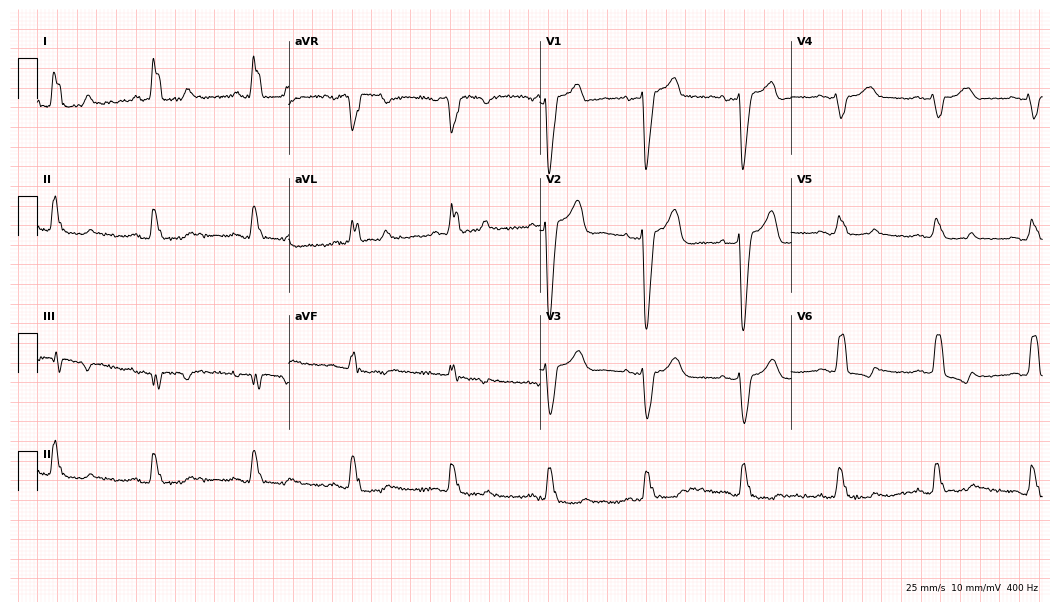
12-lead ECG from a 70-year-old woman (10.2-second recording at 400 Hz). Shows left bundle branch block.